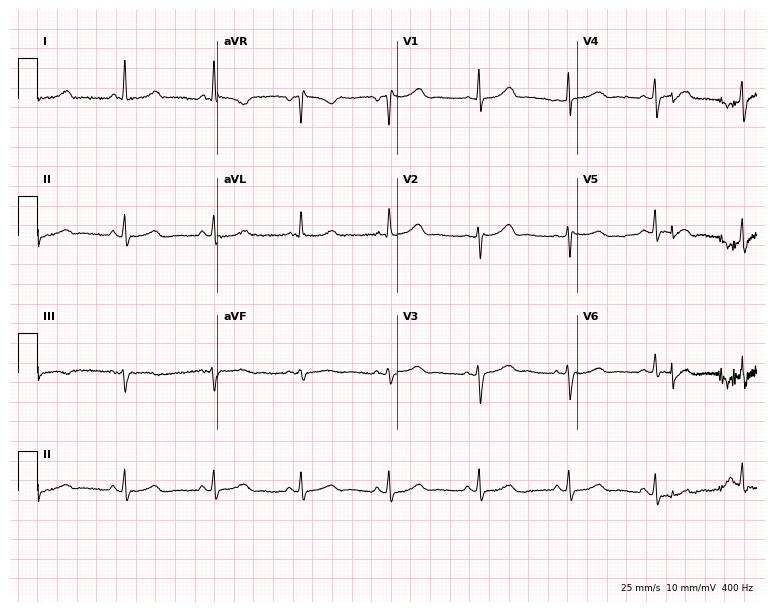
Standard 12-lead ECG recorded from a 59-year-old woman. Read as a normal ECG.